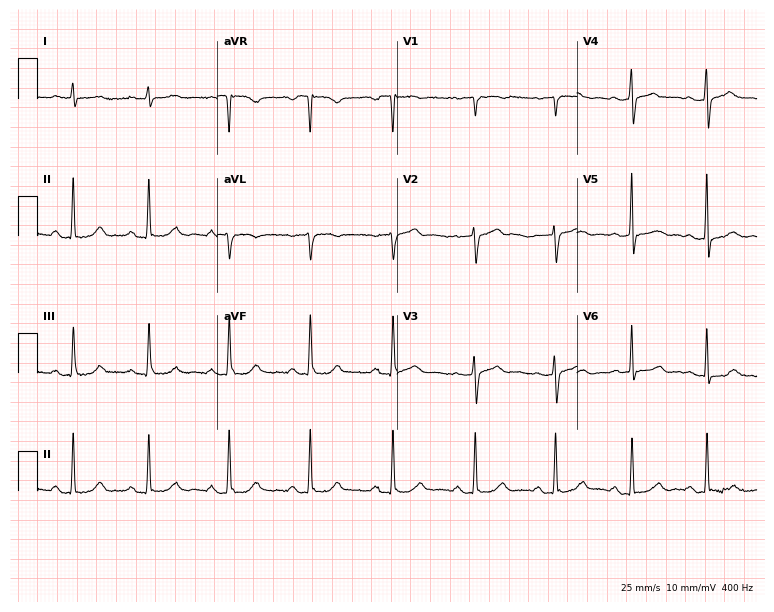
Resting 12-lead electrocardiogram. Patient: a 51-year-old female. Read as a normal ECG.